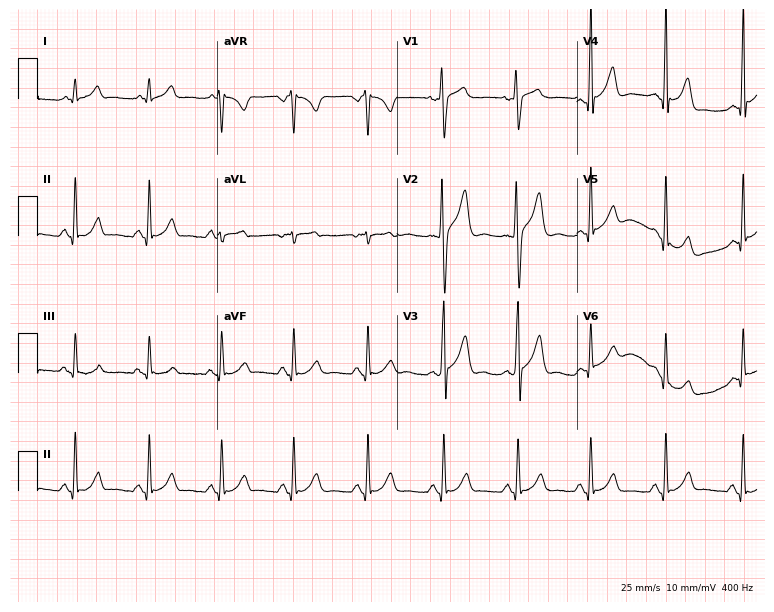
Resting 12-lead electrocardiogram. Patient: a 38-year-old male. Read as a normal ECG.